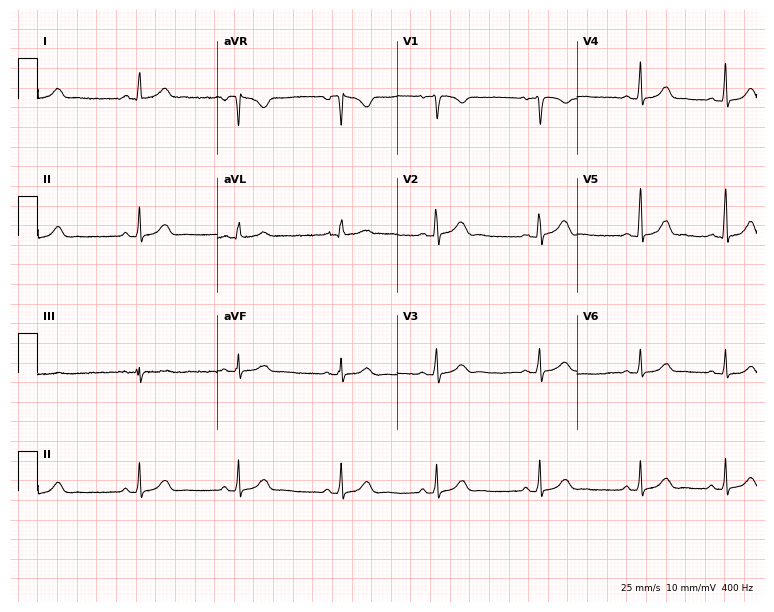
Resting 12-lead electrocardiogram. Patient: a 21-year-old female. Read as a normal ECG.